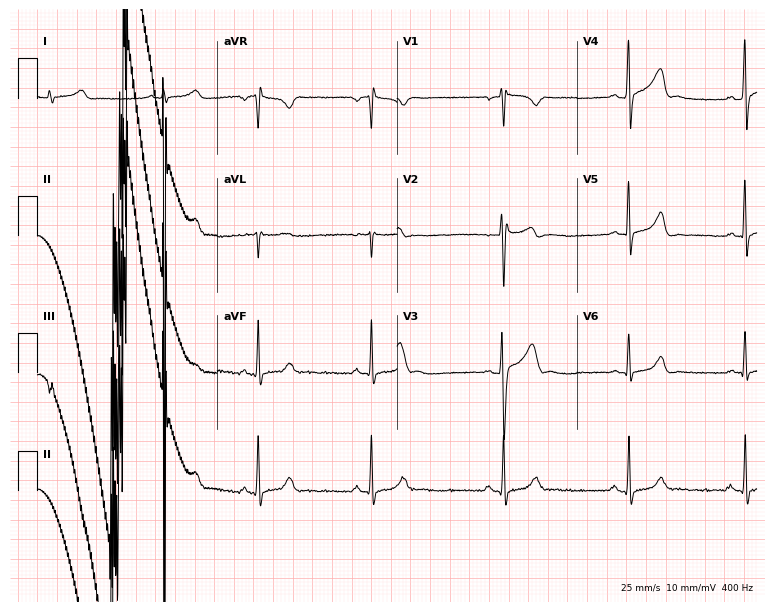
ECG (7.3-second recording at 400 Hz) — a man, 31 years old. Labelled as a normal ECG.